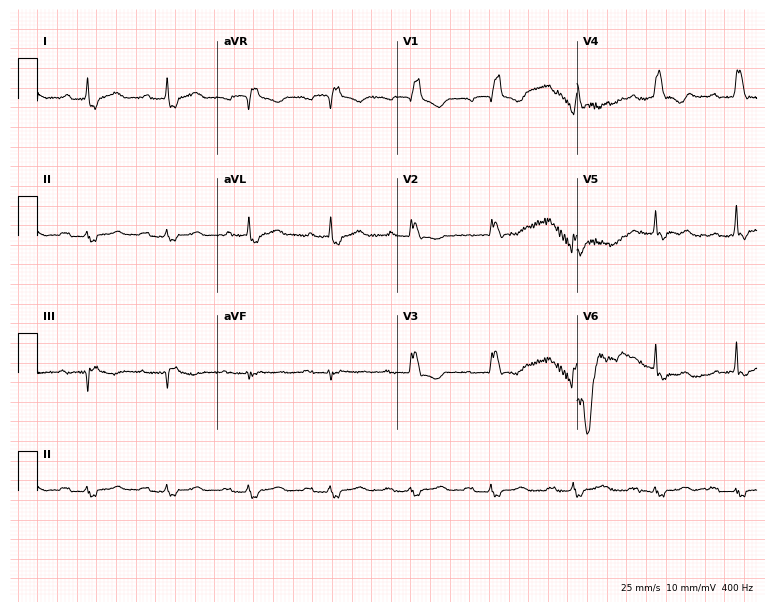
ECG (7.3-second recording at 400 Hz) — a 69-year-old female patient. Findings include first-degree AV block, right bundle branch block.